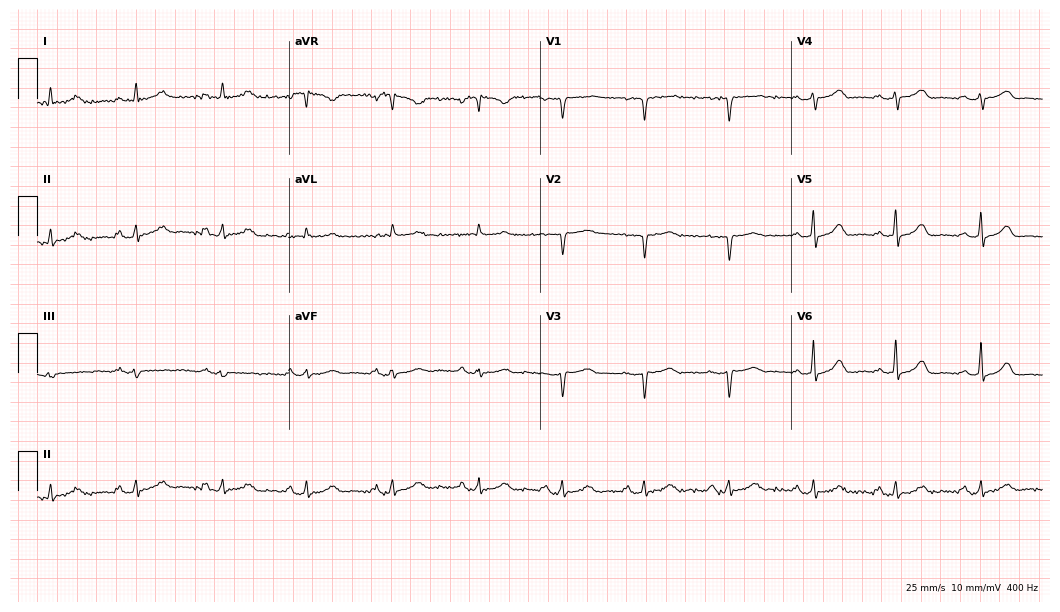
ECG — a 47-year-old woman. Screened for six findings — first-degree AV block, right bundle branch block, left bundle branch block, sinus bradycardia, atrial fibrillation, sinus tachycardia — none is recorded.